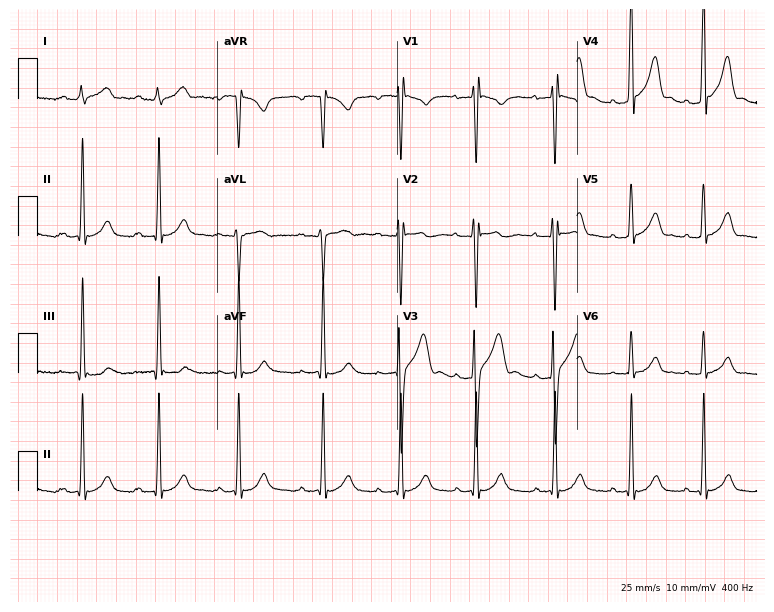
ECG — a man, 17 years old. Screened for six findings — first-degree AV block, right bundle branch block, left bundle branch block, sinus bradycardia, atrial fibrillation, sinus tachycardia — none is recorded. Other findings, if any, are not listed.